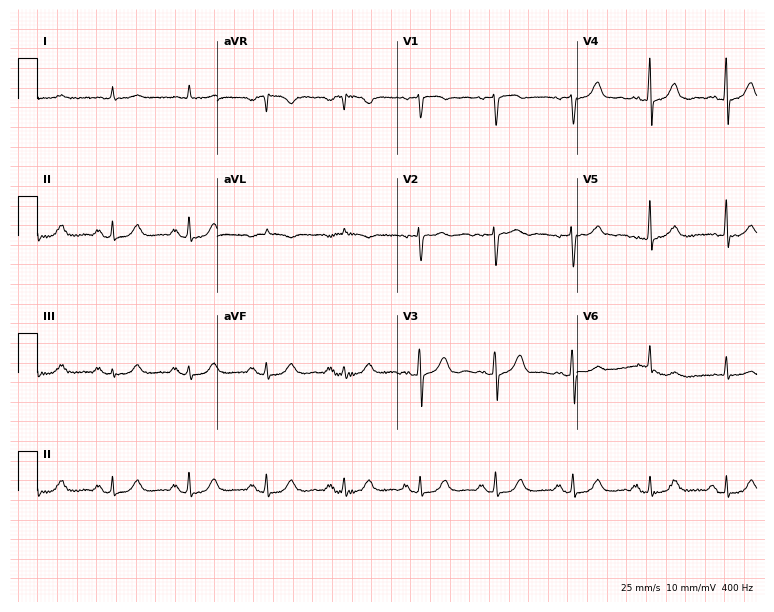
12-lead ECG from a female patient, 73 years old. No first-degree AV block, right bundle branch block, left bundle branch block, sinus bradycardia, atrial fibrillation or sinus tachycardia recorded for this tracing. Other findings, if any, are not listed.